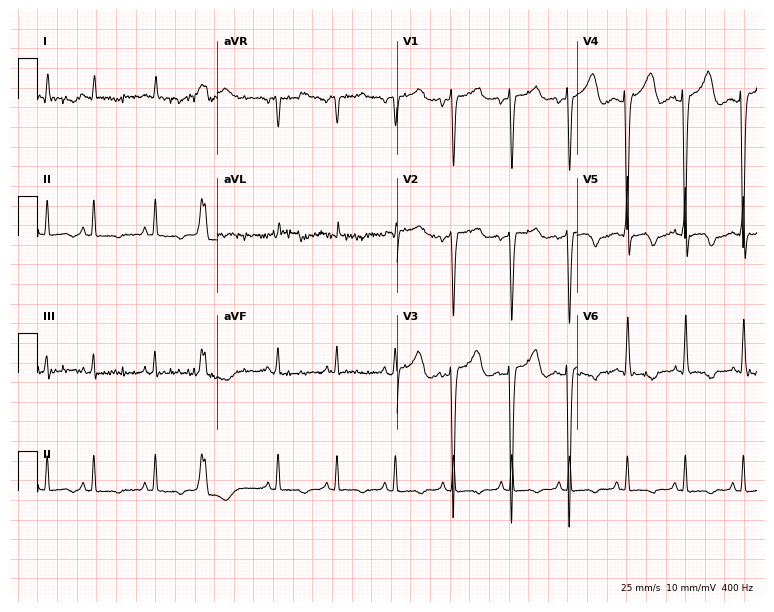
Standard 12-lead ECG recorded from a 75-year-old male. None of these six findings is recorded: first-degree AV block, right bundle branch block, left bundle branch block, sinus bradycardia, atrial fibrillation, sinus tachycardia.